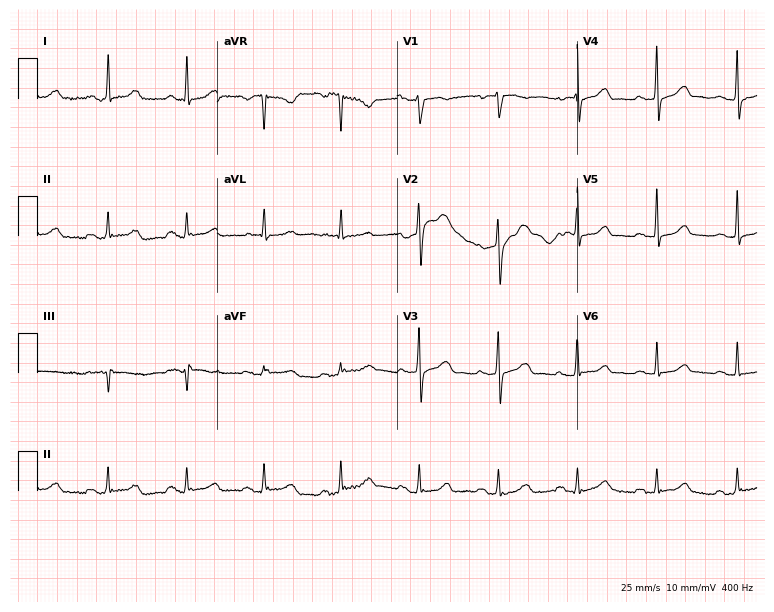
ECG — a female patient, 58 years old. Labelled as a normal ECG.